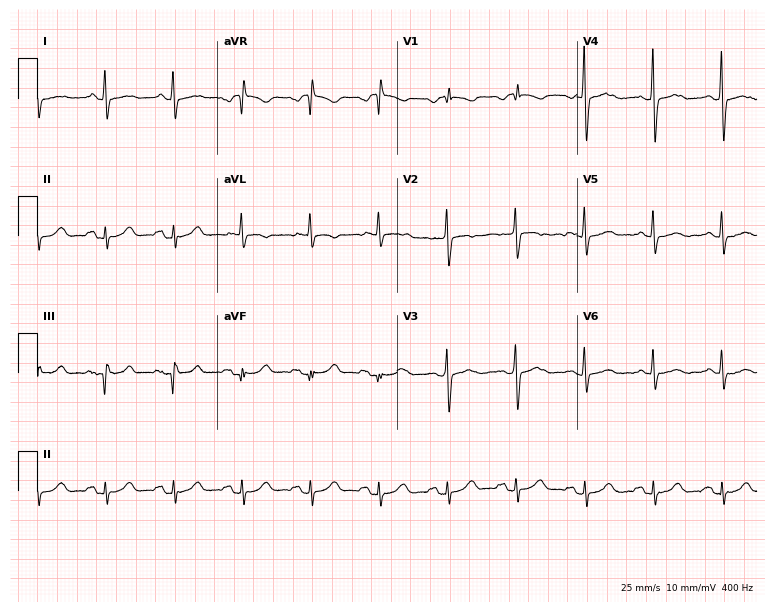
12-lead ECG from a 75-year-old female patient (7.3-second recording at 400 Hz). No first-degree AV block, right bundle branch block, left bundle branch block, sinus bradycardia, atrial fibrillation or sinus tachycardia recorded for this tracing.